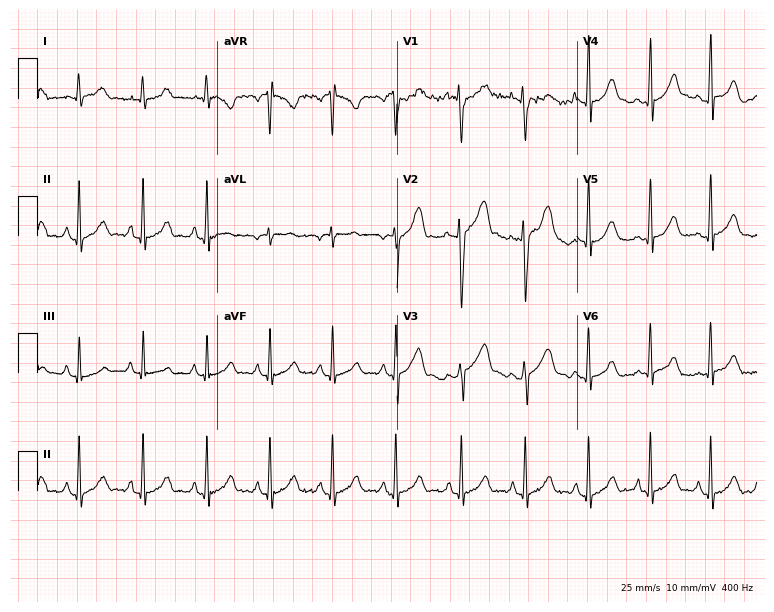
Resting 12-lead electrocardiogram (7.3-second recording at 400 Hz). Patient: a male, 20 years old. Read as a normal ECG.